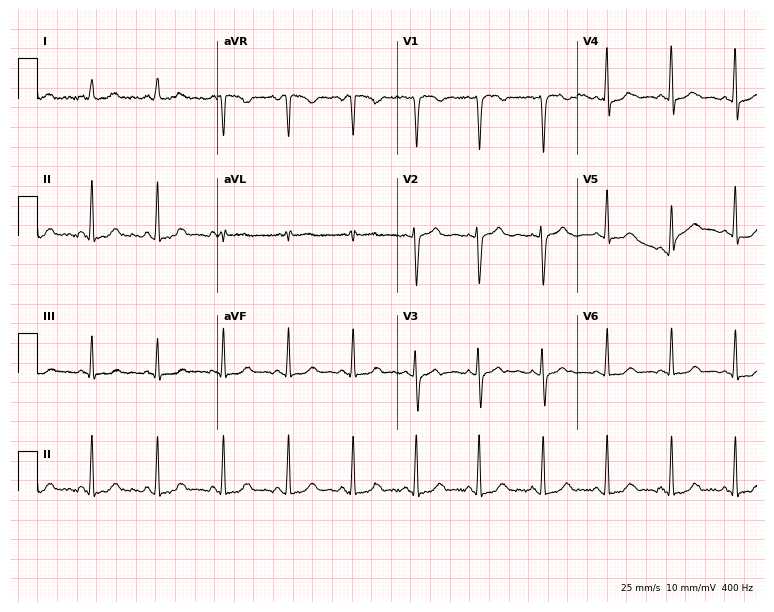
12-lead ECG from a woman, 50 years old. No first-degree AV block, right bundle branch block (RBBB), left bundle branch block (LBBB), sinus bradycardia, atrial fibrillation (AF) or sinus tachycardia recorded for this tracing.